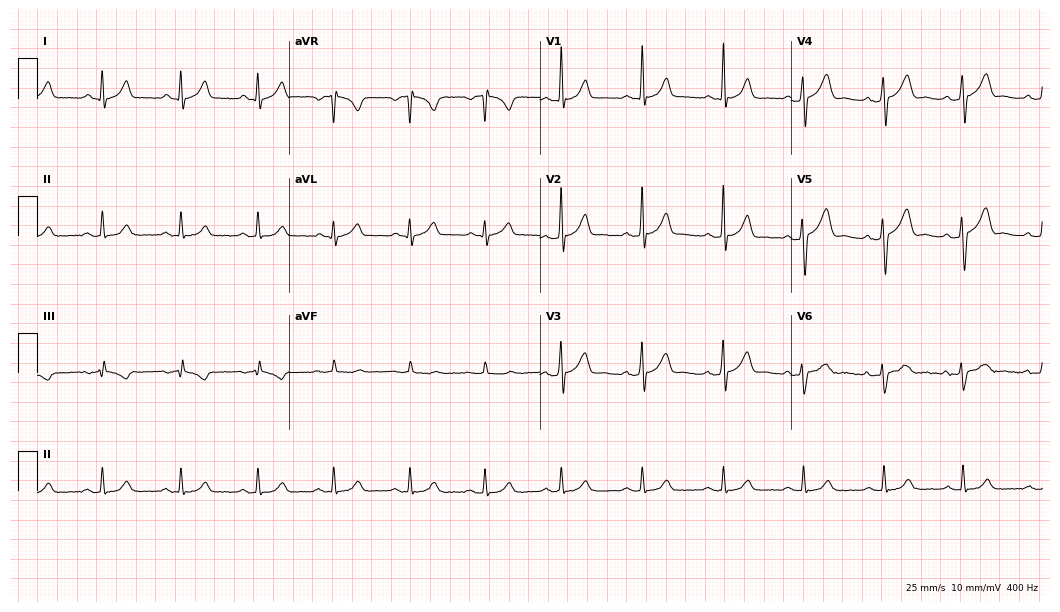
ECG (10.2-second recording at 400 Hz) — a 32-year-old male patient. Screened for six findings — first-degree AV block, right bundle branch block (RBBB), left bundle branch block (LBBB), sinus bradycardia, atrial fibrillation (AF), sinus tachycardia — none is recorded. Findings outside these six are not listed.